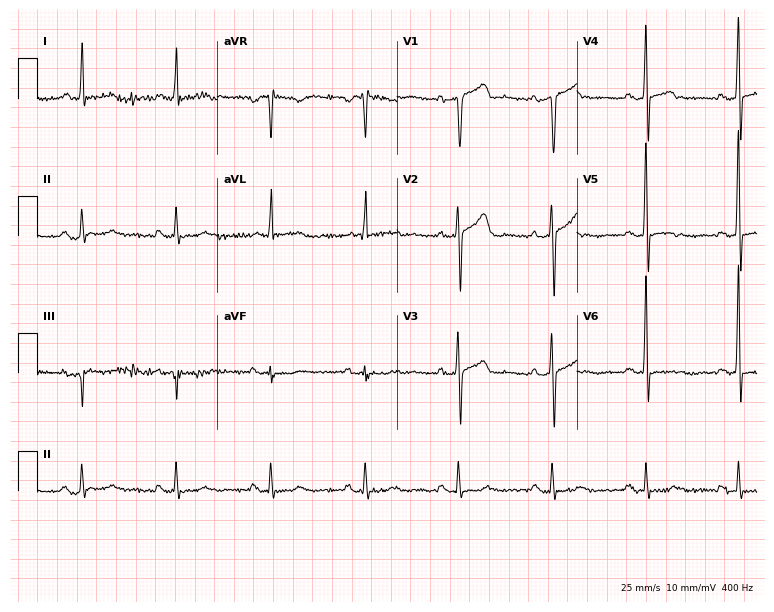
ECG (7.3-second recording at 400 Hz) — a male, 67 years old. Labelled as a normal ECG.